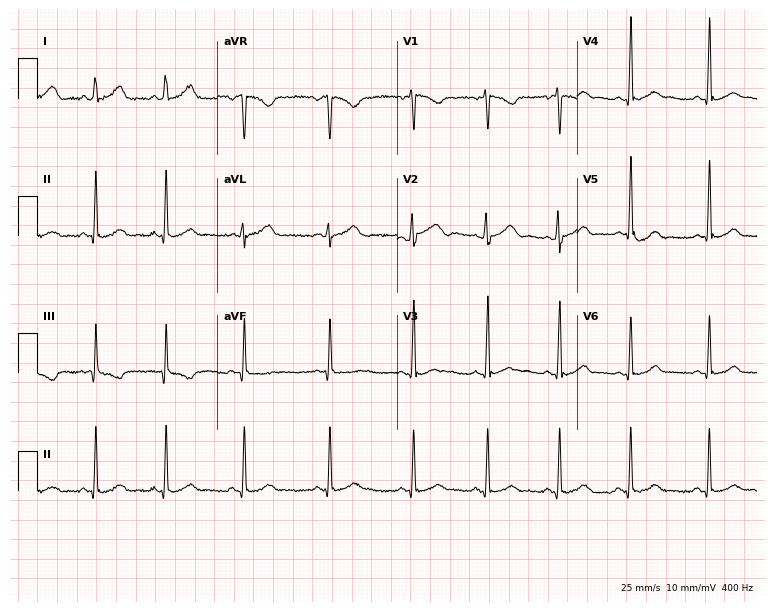
12-lead ECG from a 19-year-old female patient (7.3-second recording at 400 Hz). Recorded interpretation: within normal limits.